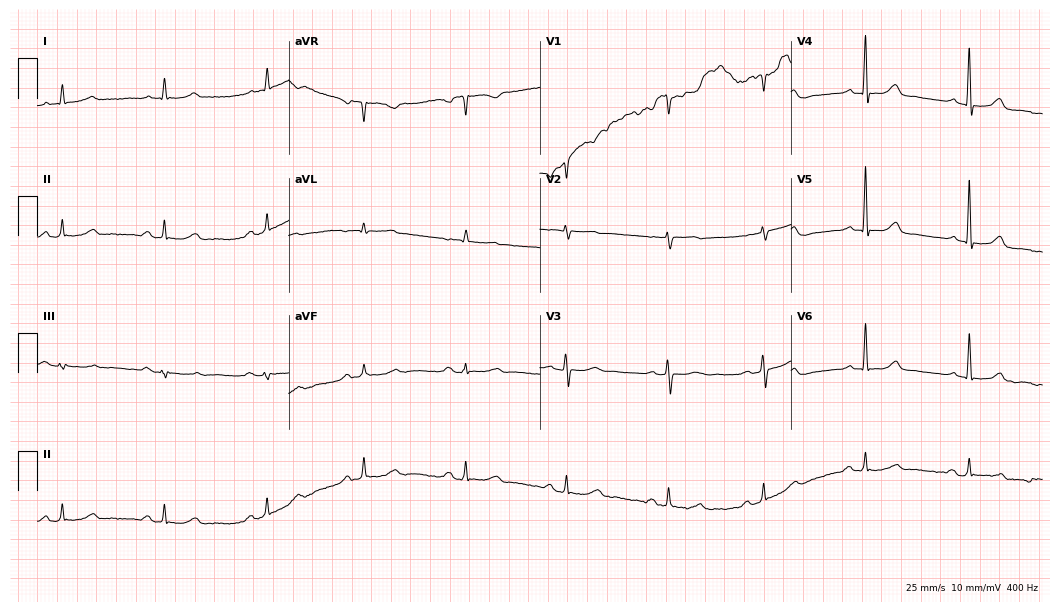
Electrocardiogram, a 73-year-old woman. Overall reading on record: normal ECG.